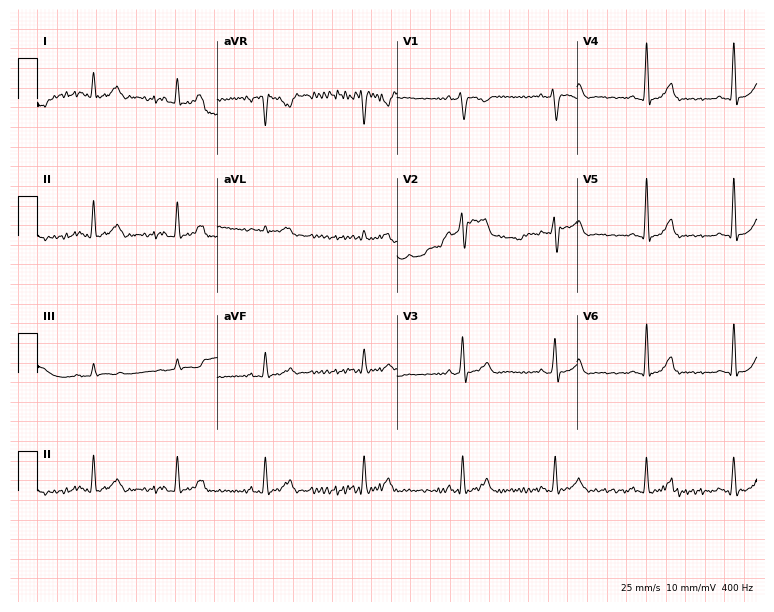
ECG (7.3-second recording at 400 Hz) — a 45-year-old male patient. Screened for six findings — first-degree AV block, right bundle branch block (RBBB), left bundle branch block (LBBB), sinus bradycardia, atrial fibrillation (AF), sinus tachycardia — none is recorded. Findings outside these six are not listed.